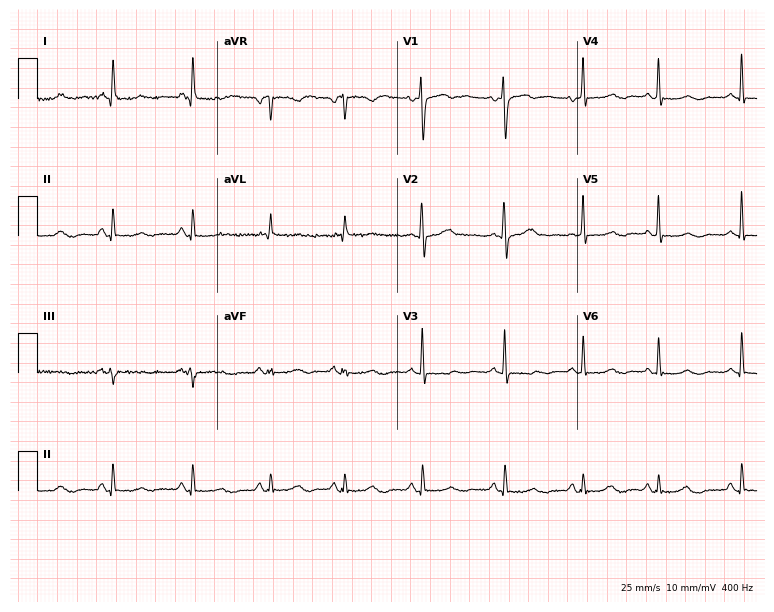
12-lead ECG (7.3-second recording at 400 Hz) from a female patient, 59 years old. Screened for six findings — first-degree AV block, right bundle branch block, left bundle branch block, sinus bradycardia, atrial fibrillation, sinus tachycardia — none is recorded. Only these six findings were labelled.